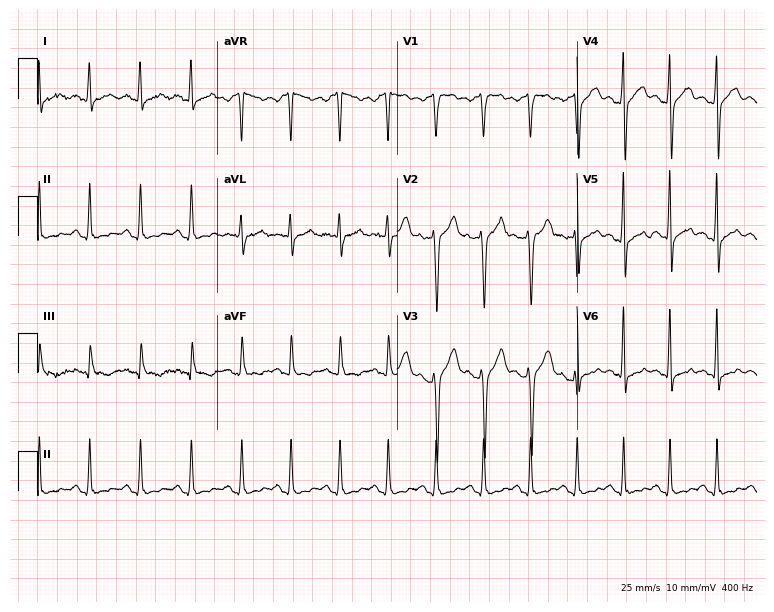
Standard 12-lead ECG recorded from a 28-year-old man. The tracing shows sinus tachycardia (a sinus rate of 100 beats per minute or more).